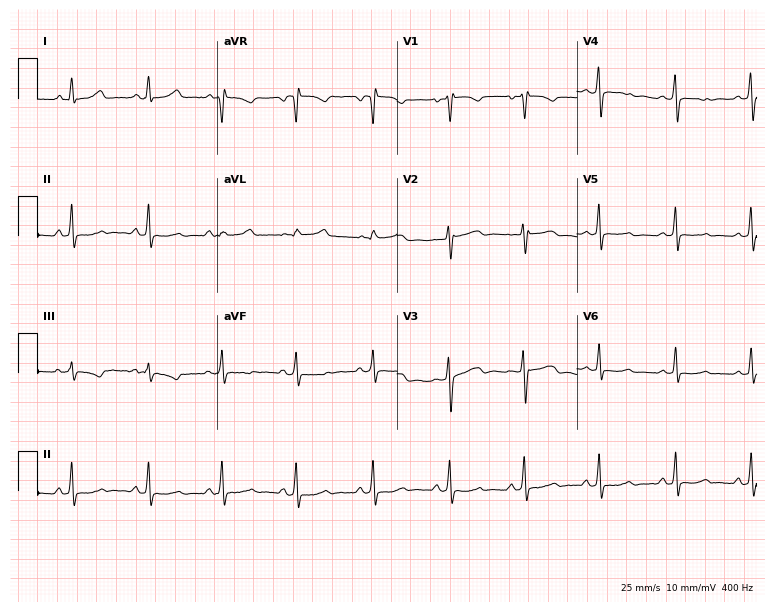
12-lead ECG (7.3-second recording at 400 Hz) from a female patient, 35 years old. Screened for six findings — first-degree AV block, right bundle branch block (RBBB), left bundle branch block (LBBB), sinus bradycardia, atrial fibrillation (AF), sinus tachycardia — none is recorded. Other findings, if any, are not listed.